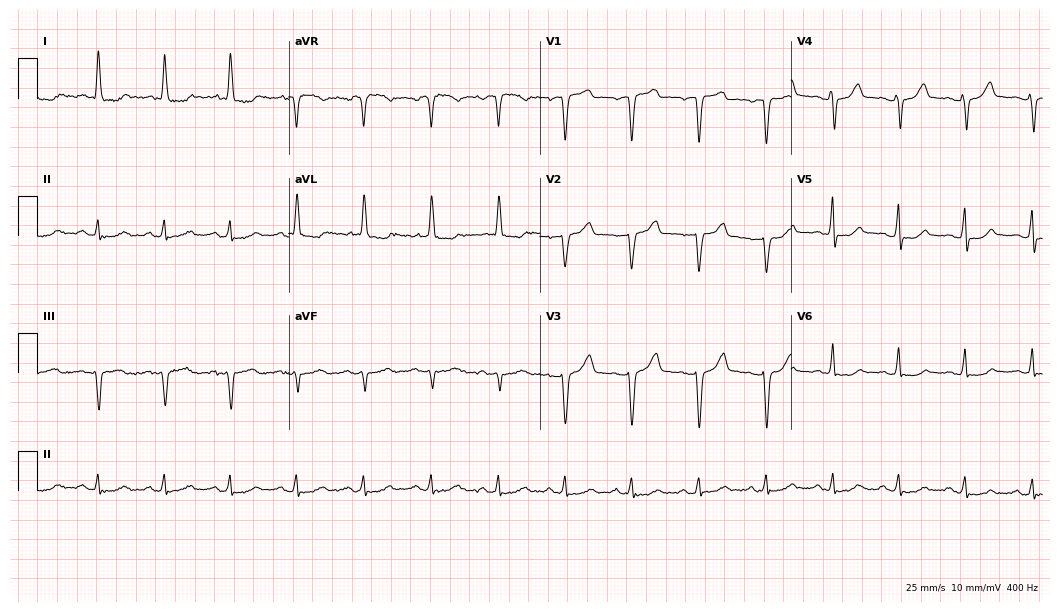
Electrocardiogram, a 70-year-old woman. Of the six screened findings (first-degree AV block, right bundle branch block (RBBB), left bundle branch block (LBBB), sinus bradycardia, atrial fibrillation (AF), sinus tachycardia), none is recorded. Only these six findings were labelled.